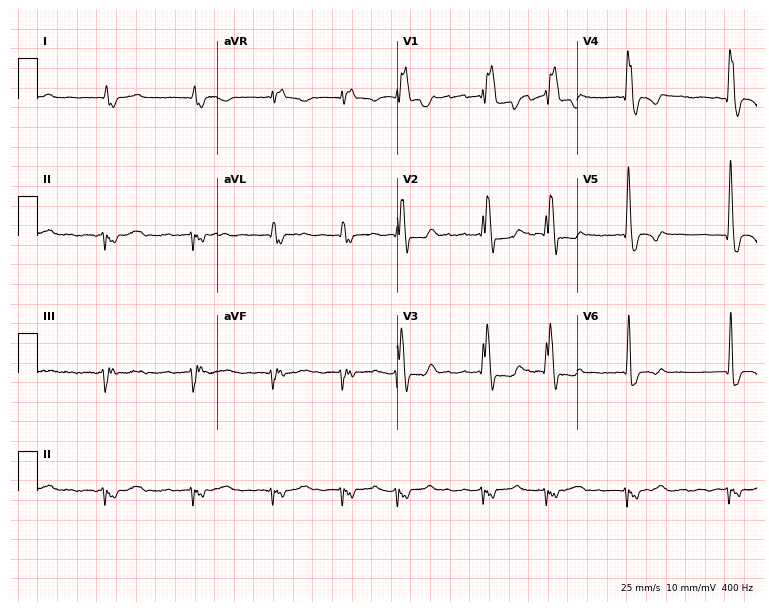
12-lead ECG from a 63-year-old man (7.3-second recording at 400 Hz). Shows right bundle branch block, atrial fibrillation.